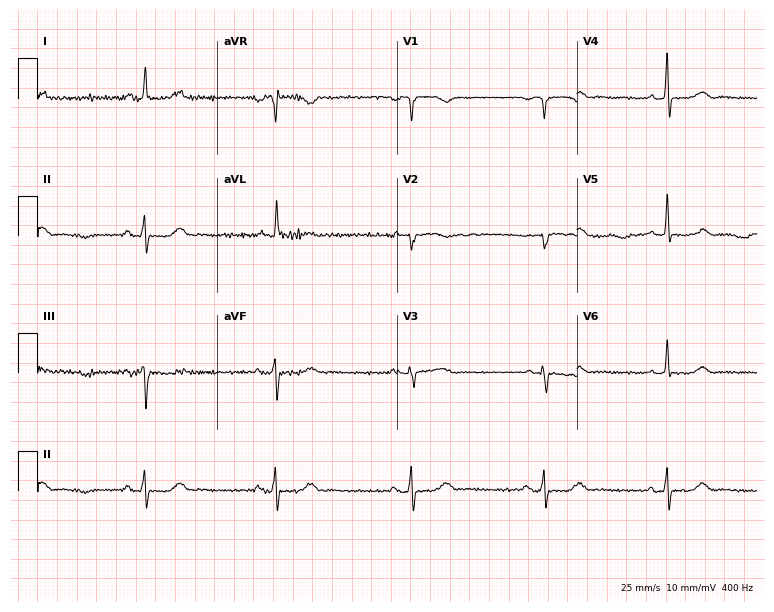
12-lead ECG (7.3-second recording at 400 Hz) from a female, 73 years old. Findings include sinus bradycardia (a sinus rate of 50 beats per minute or less).